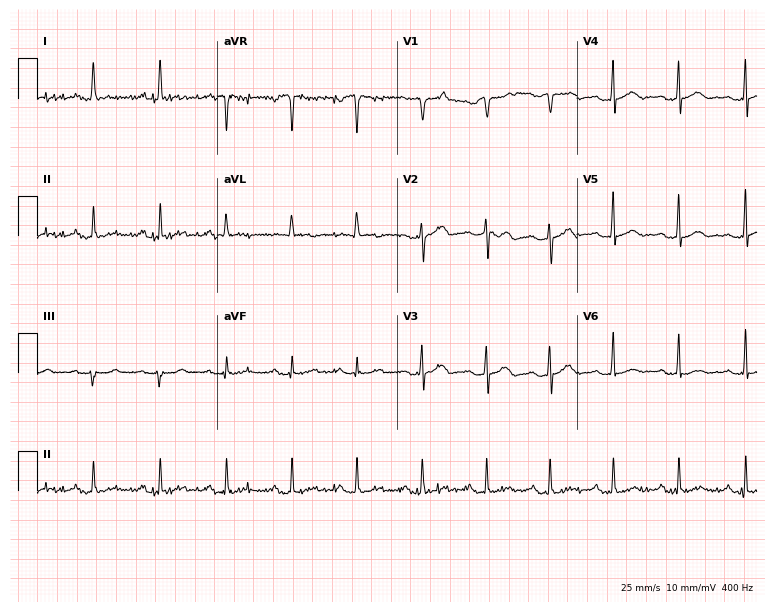
Standard 12-lead ECG recorded from a woman, 58 years old. None of these six findings is recorded: first-degree AV block, right bundle branch block, left bundle branch block, sinus bradycardia, atrial fibrillation, sinus tachycardia. Only these six findings were labelled.